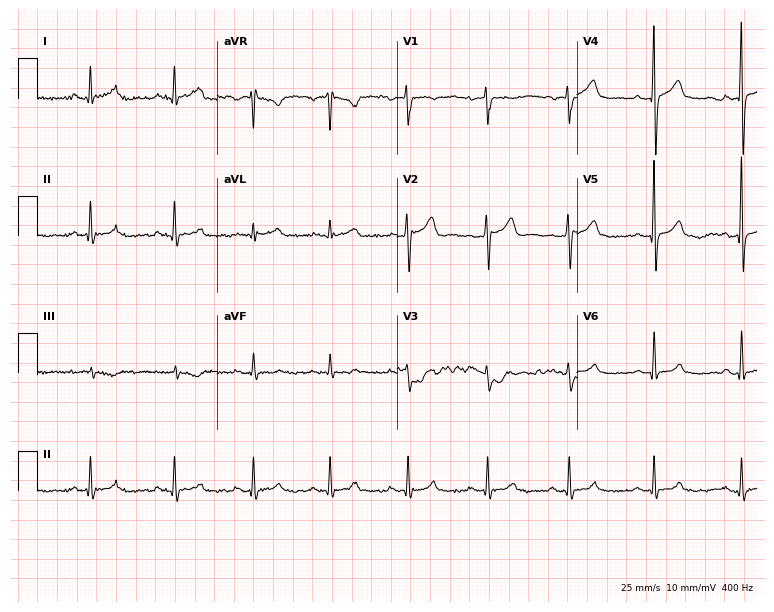
ECG — a man, 32 years old. Screened for six findings — first-degree AV block, right bundle branch block, left bundle branch block, sinus bradycardia, atrial fibrillation, sinus tachycardia — none is recorded. Only these six findings were labelled.